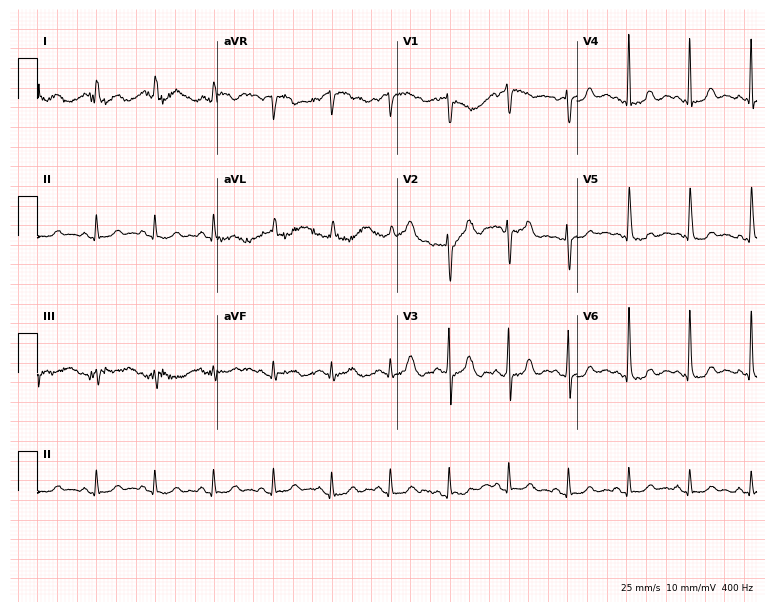
ECG (7.3-second recording at 400 Hz) — an 82-year-old male patient. Screened for six findings — first-degree AV block, right bundle branch block (RBBB), left bundle branch block (LBBB), sinus bradycardia, atrial fibrillation (AF), sinus tachycardia — none is recorded.